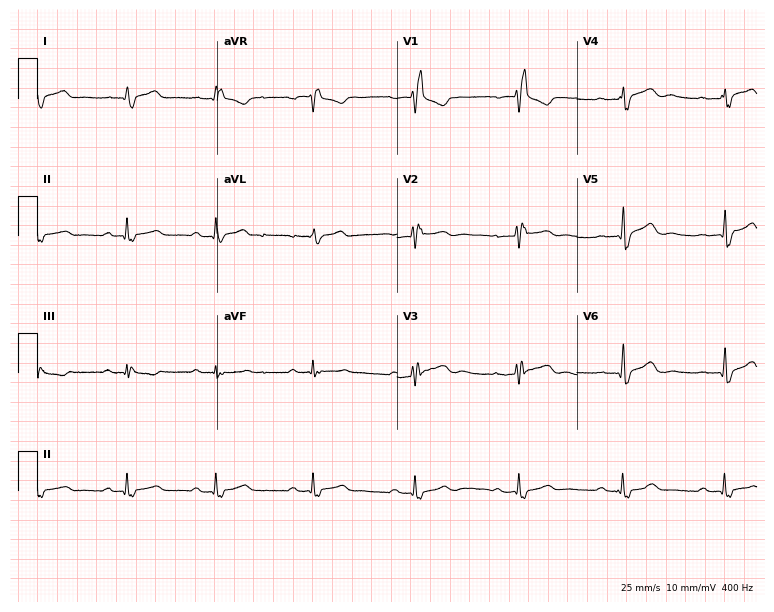
Electrocardiogram (7.3-second recording at 400 Hz), a male, 33 years old. Interpretation includes right bundle branch block.